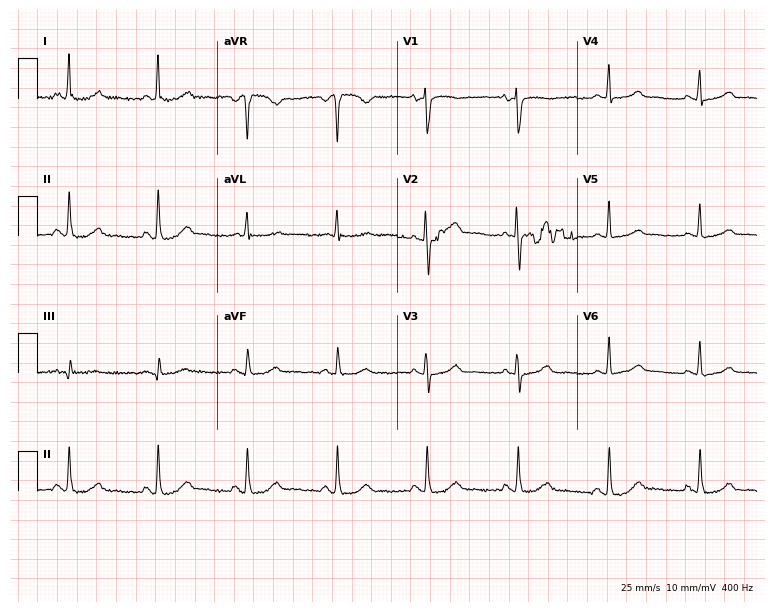
Resting 12-lead electrocardiogram. Patient: a 71-year-old female. Read as a normal ECG.